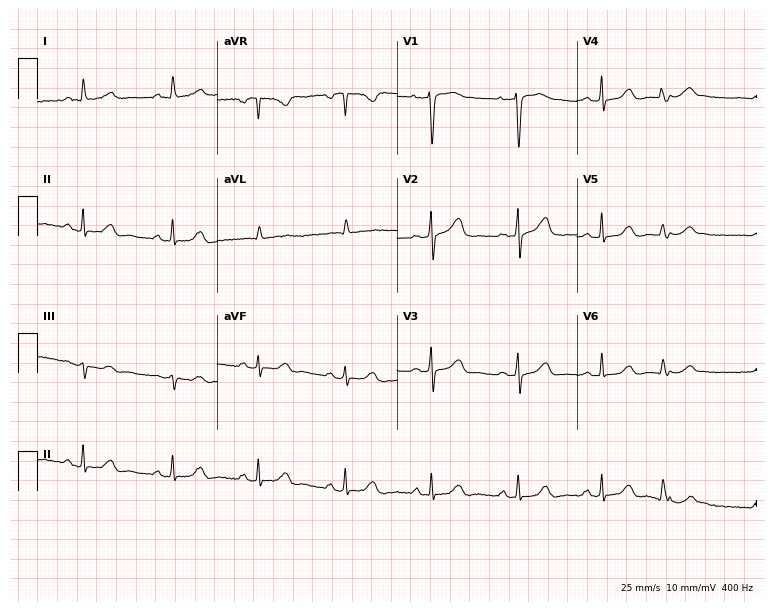
Standard 12-lead ECG recorded from a female patient, 50 years old (7.3-second recording at 400 Hz). None of these six findings is recorded: first-degree AV block, right bundle branch block (RBBB), left bundle branch block (LBBB), sinus bradycardia, atrial fibrillation (AF), sinus tachycardia.